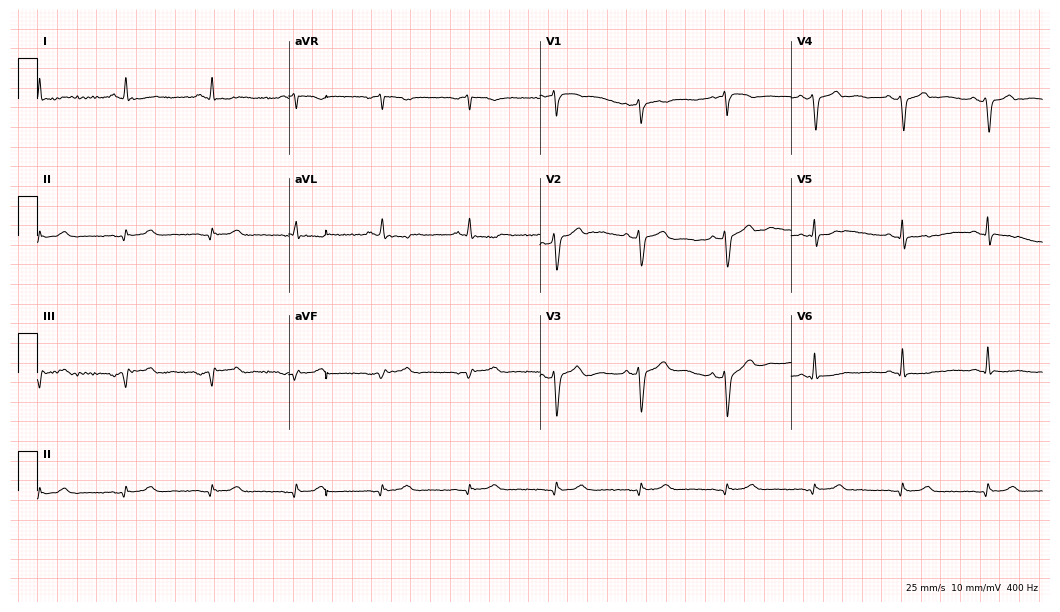
Resting 12-lead electrocardiogram (10.2-second recording at 400 Hz). Patient: an 81-year-old male. None of these six findings is recorded: first-degree AV block, right bundle branch block, left bundle branch block, sinus bradycardia, atrial fibrillation, sinus tachycardia. Other findings, if any, are not listed.